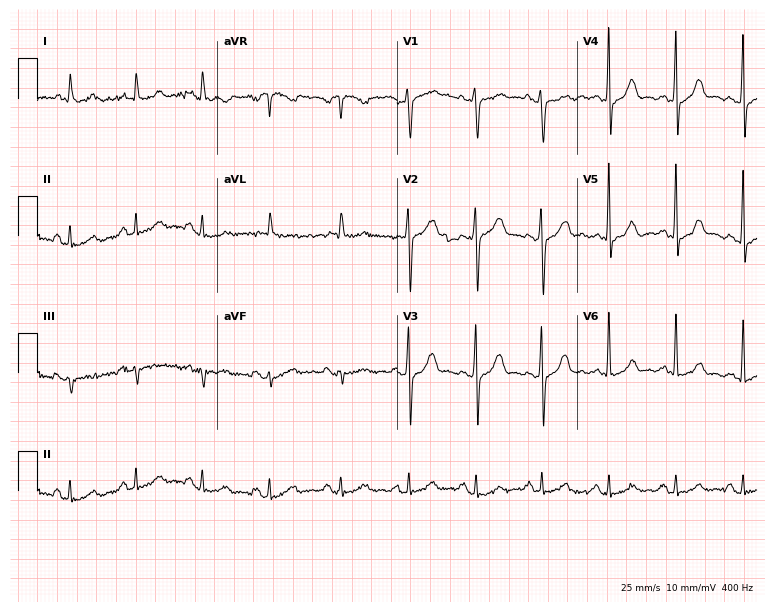
ECG — a man, 50 years old. Screened for six findings — first-degree AV block, right bundle branch block (RBBB), left bundle branch block (LBBB), sinus bradycardia, atrial fibrillation (AF), sinus tachycardia — none is recorded.